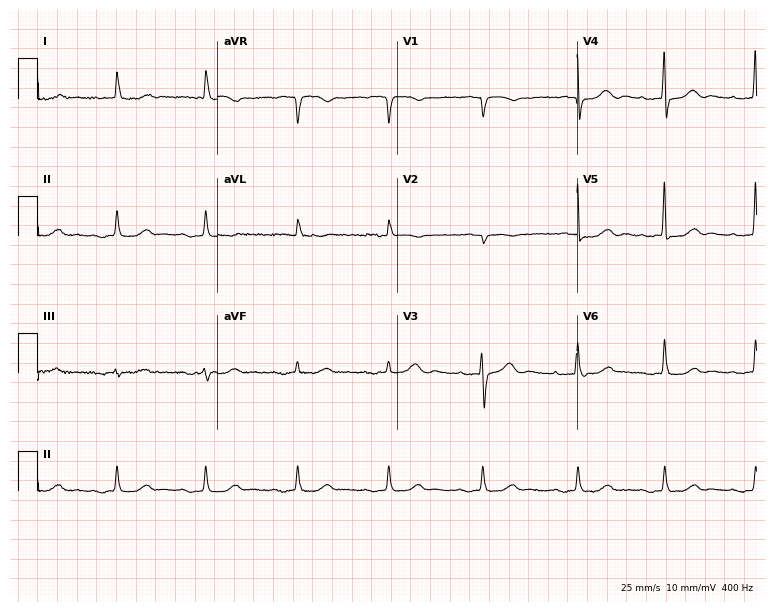
ECG — a 71-year-old female. Screened for six findings — first-degree AV block, right bundle branch block, left bundle branch block, sinus bradycardia, atrial fibrillation, sinus tachycardia — none is recorded. Findings outside these six are not listed.